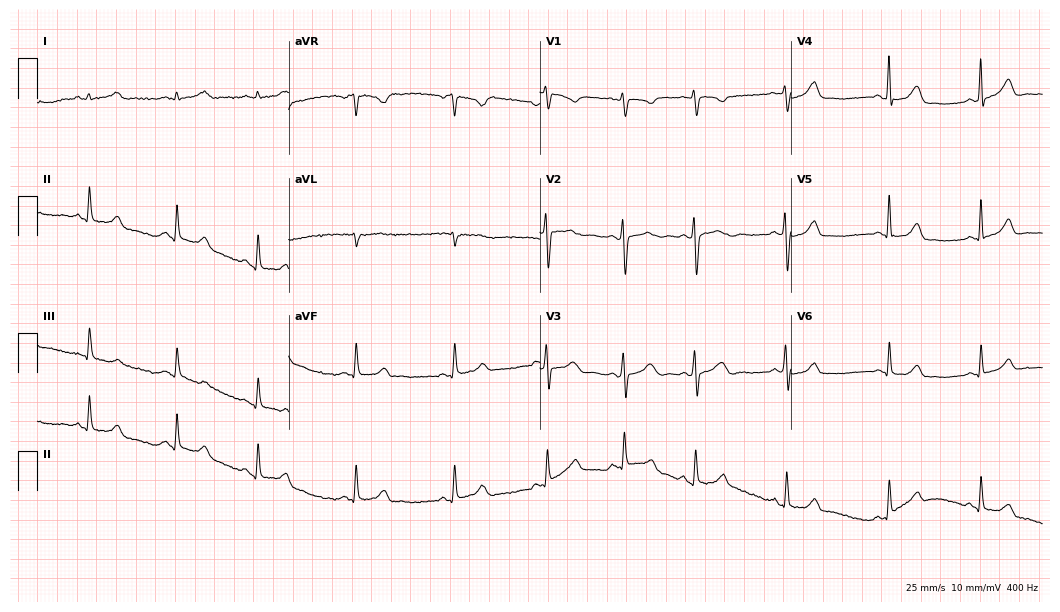
ECG (10.2-second recording at 400 Hz) — a 34-year-old female patient. Screened for six findings — first-degree AV block, right bundle branch block (RBBB), left bundle branch block (LBBB), sinus bradycardia, atrial fibrillation (AF), sinus tachycardia — none is recorded. Only these six findings were labelled.